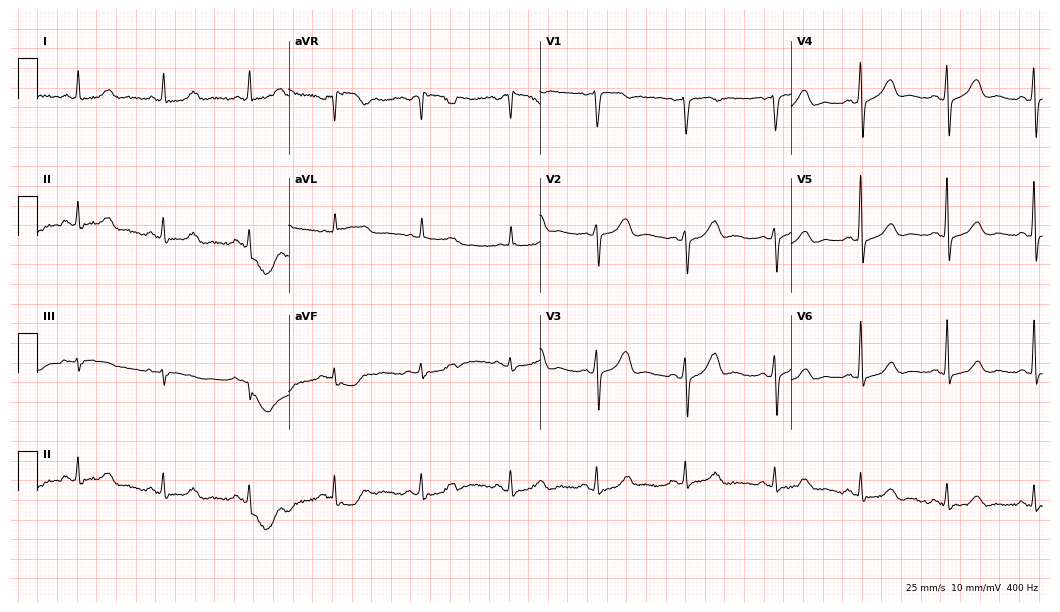
Resting 12-lead electrocardiogram (10.2-second recording at 400 Hz). Patient: a female, 54 years old. Read as a normal ECG.